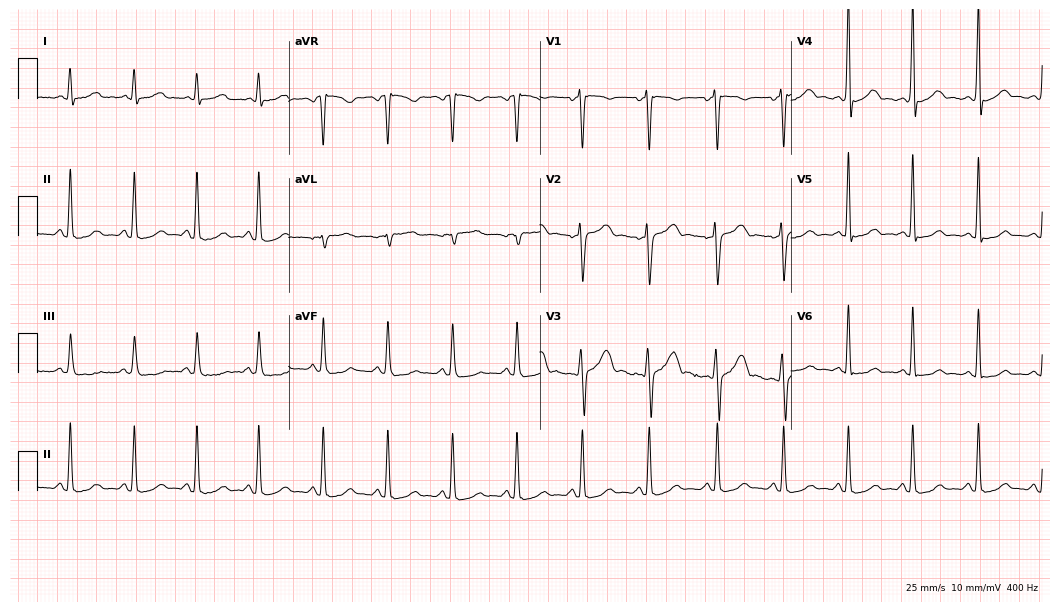
Electrocardiogram (10.2-second recording at 400 Hz), a 33-year-old man. Of the six screened findings (first-degree AV block, right bundle branch block, left bundle branch block, sinus bradycardia, atrial fibrillation, sinus tachycardia), none is recorded. Findings outside these six are not listed.